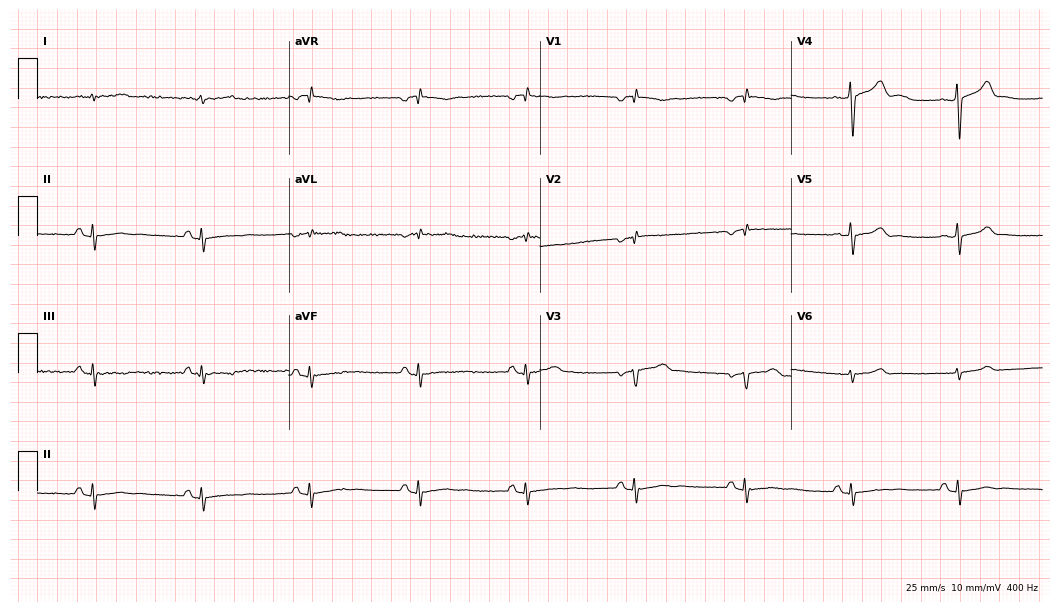
Standard 12-lead ECG recorded from a 68-year-old male (10.2-second recording at 400 Hz). None of these six findings is recorded: first-degree AV block, right bundle branch block, left bundle branch block, sinus bradycardia, atrial fibrillation, sinus tachycardia. Findings outside these six are not listed.